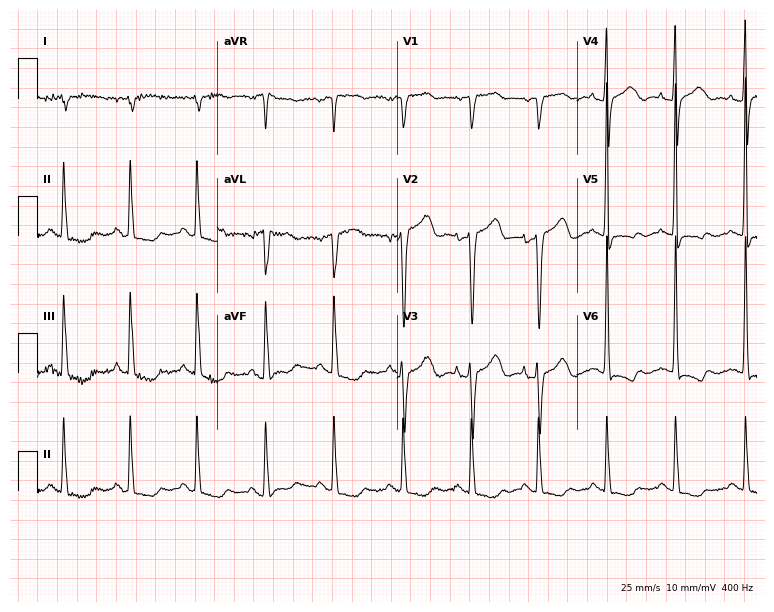
ECG — a female, 75 years old. Screened for six findings — first-degree AV block, right bundle branch block, left bundle branch block, sinus bradycardia, atrial fibrillation, sinus tachycardia — none is recorded. Findings outside these six are not listed.